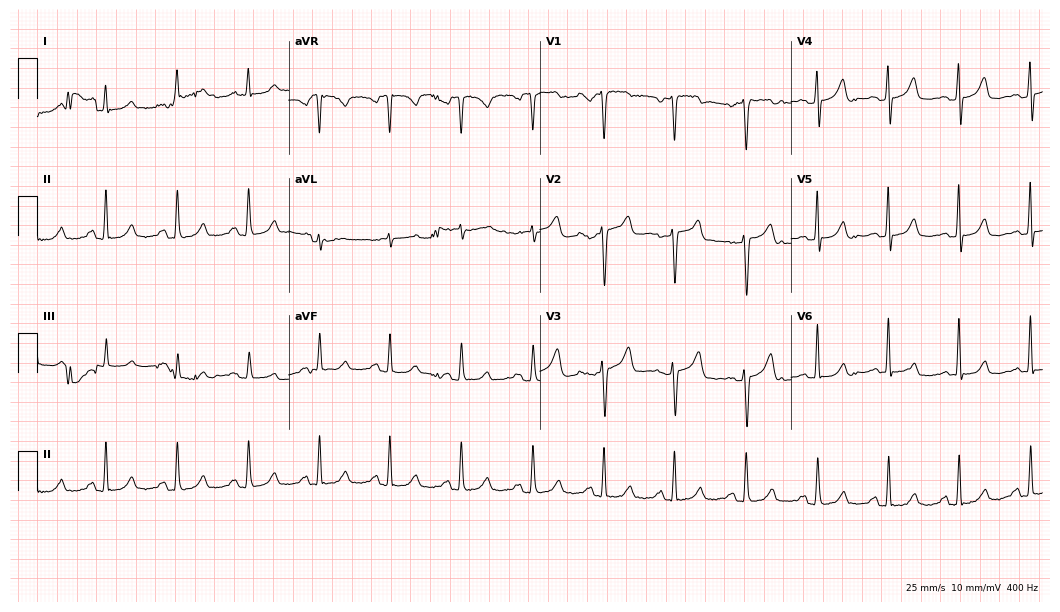
Electrocardiogram, a woman, 60 years old. Of the six screened findings (first-degree AV block, right bundle branch block (RBBB), left bundle branch block (LBBB), sinus bradycardia, atrial fibrillation (AF), sinus tachycardia), none is recorded. Findings outside these six are not listed.